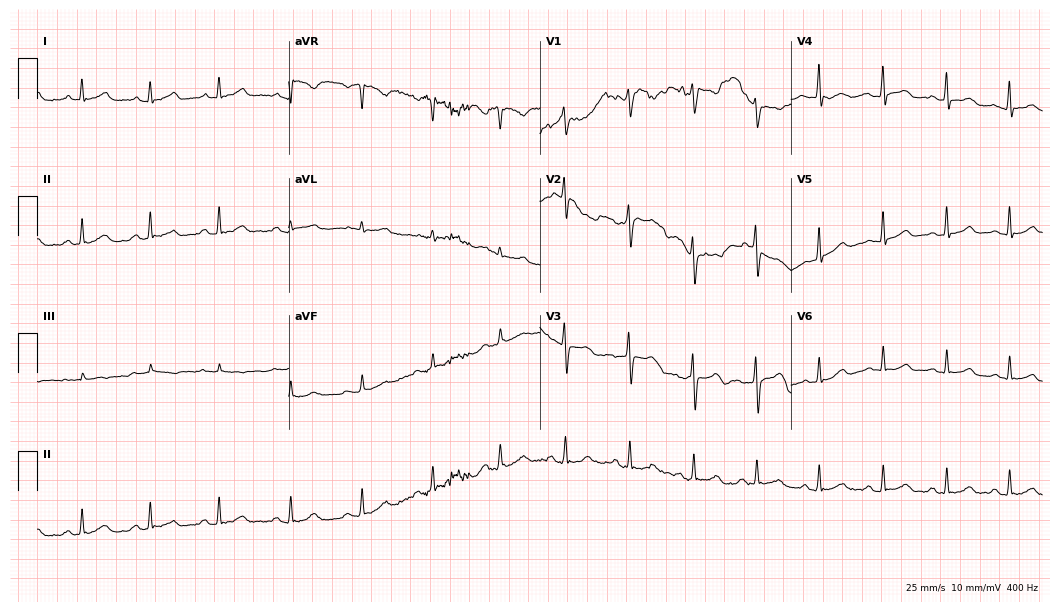
Standard 12-lead ECG recorded from a woman, 36 years old. None of these six findings is recorded: first-degree AV block, right bundle branch block, left bundle branch block, sinus bradycardia, atrial fibrillation, sinus tachycardia. Other findings, if any, are not listed.